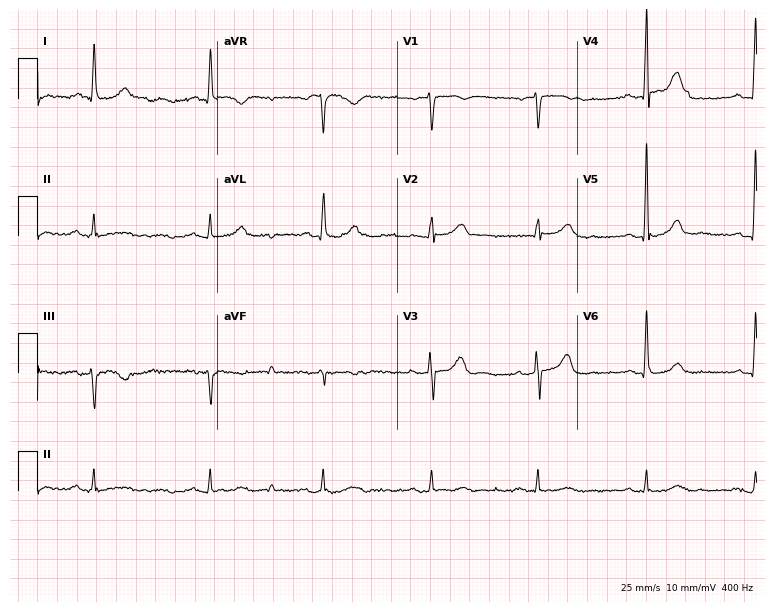
12-lead ECG from an 84-year-old man. Labelled as a normal ECG.